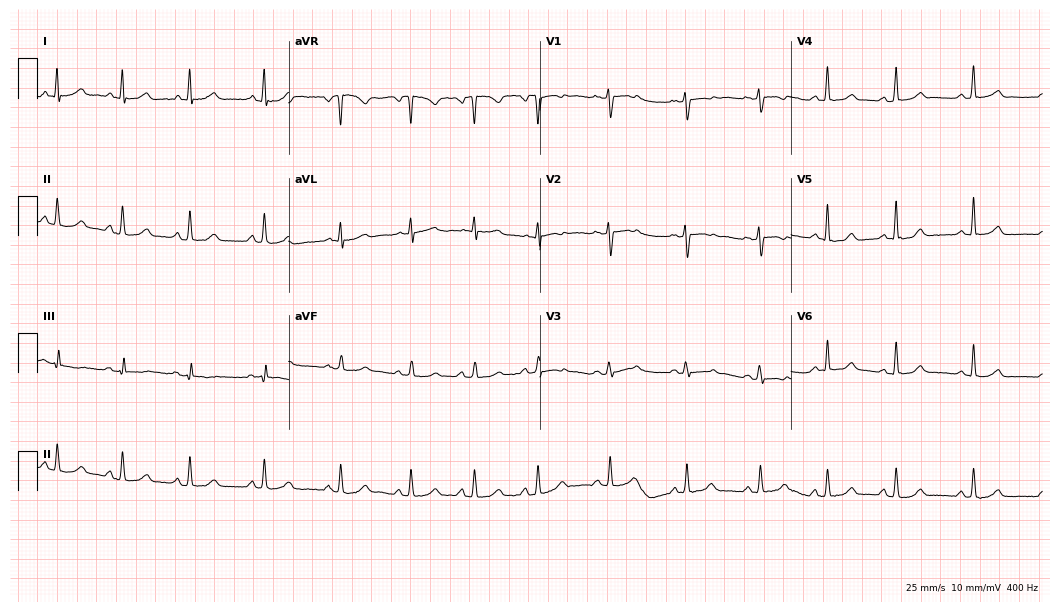
Electrocardiogram (10.2-second recording at 400 Hz), a 21-year-old female patient. Overall reading on record: normal ECG.